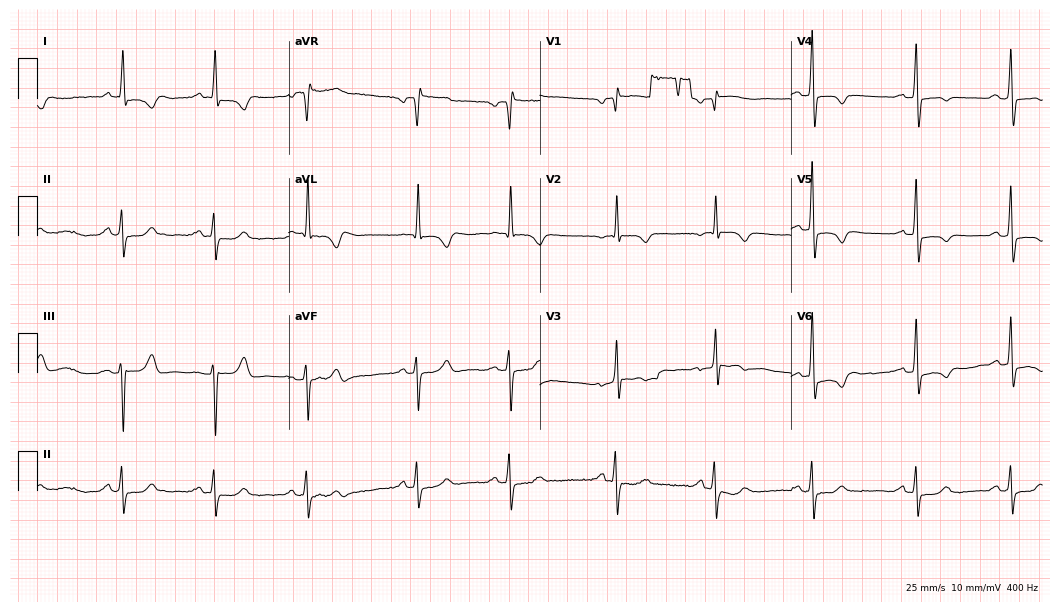
Standard 12-lead ECG recorded from a male patient, 81 years old. None of these six findings is recorded: first-degree AV block, right bundle branch block (RBBB), left bundle branch block (LBBB), sinus bradycardia, atrial fibrillation (AF), sinus tachycardia. Other findings, if any, are not listed.